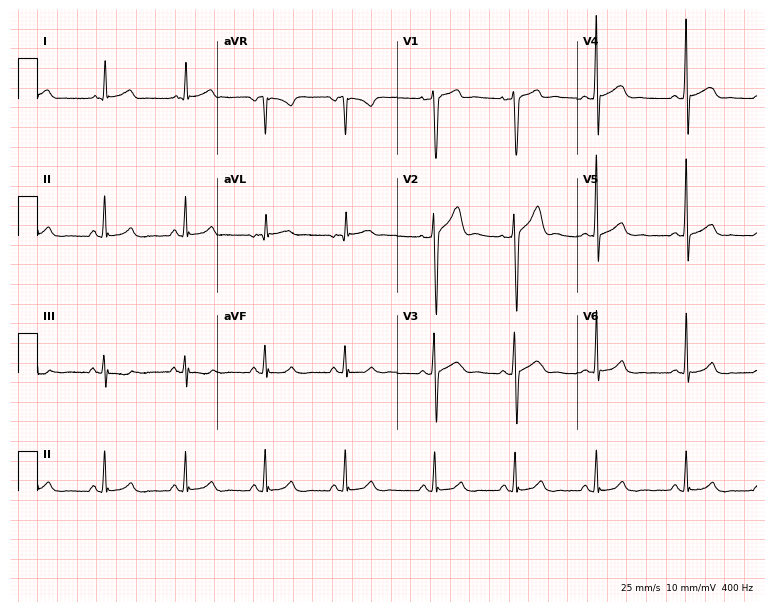
Standard 12-lead ECG recorded from a 50-year-old male patient (7.3-second recording at 400 Hz). Read as a normal ECG.